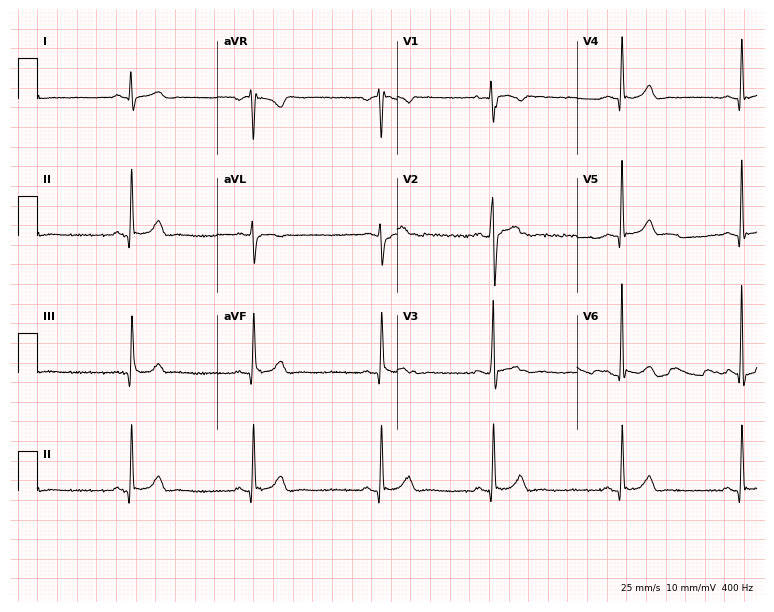
ECG — a female patient, 34 years old. Findings include sinus bradycardia (a sinus rate of 50 beats per minute or less).